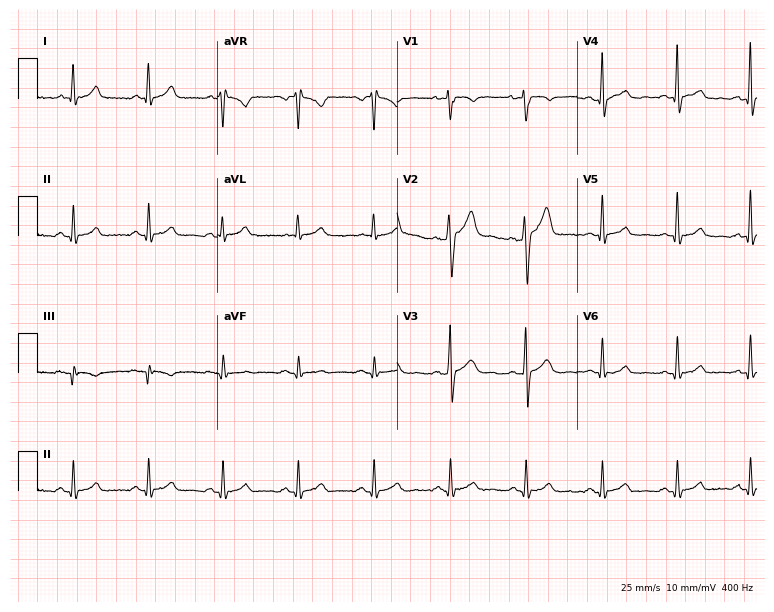
ECG — a male, 46 years old. Labelled as a normal ECG.